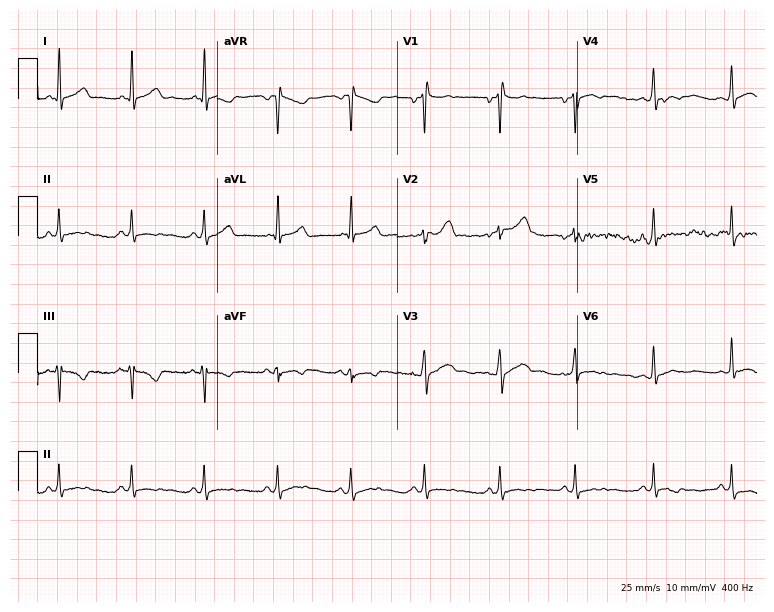
Resting 12-lead electrocardiogram (7.3-second recording at 400 Hz). Patient: a 39-year-old man. None of these six findings is recorded: first-degree AV block, right bundle branch block, left bundle branch block, sinus bradycardia, atrial fibrillation, sinus tachycardia.